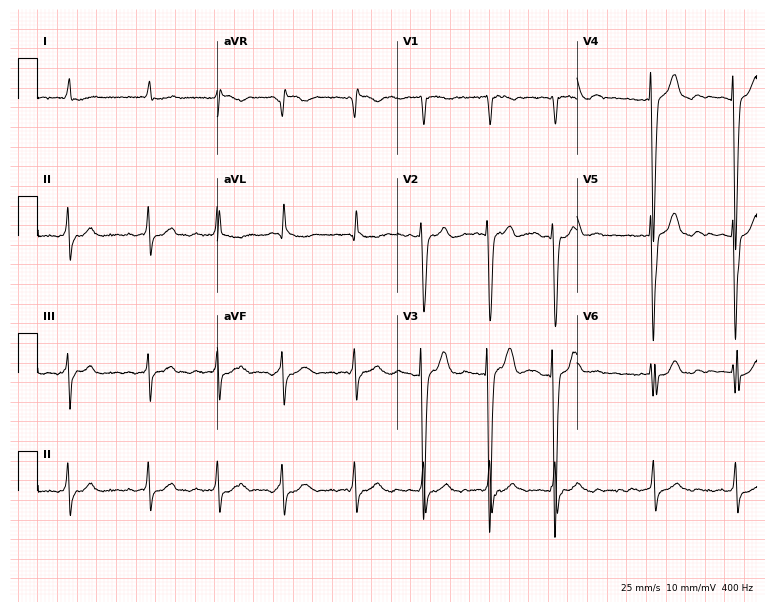
Resting 12-lead electrocardiogram (7.3-second recording at 400 Hz). Patient: a male, 76 years old. The tracing shows atrial fibrillation.